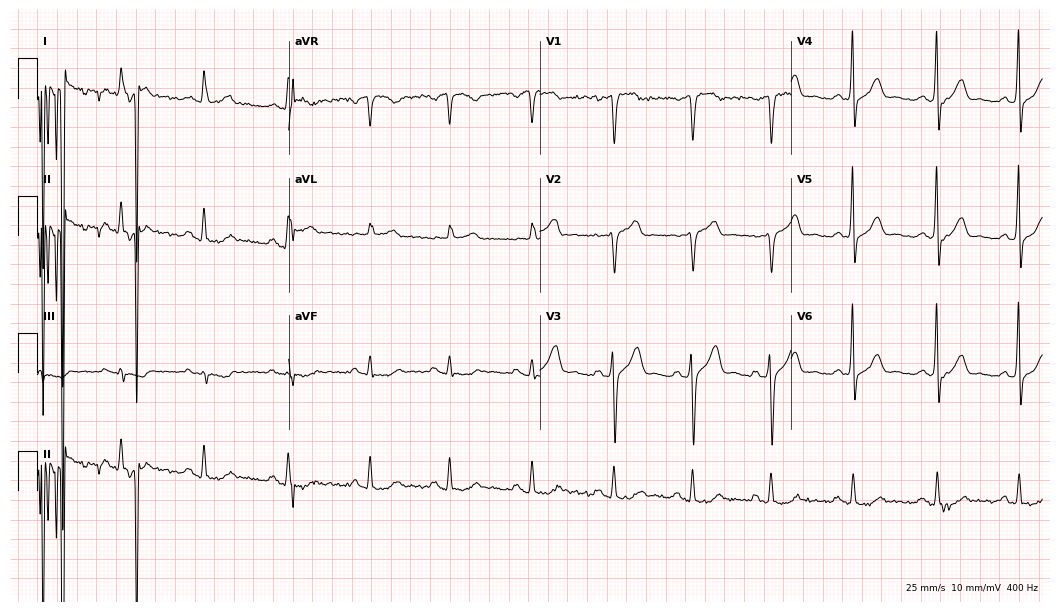
Standard 12-lead ECG recorded from a 55-year-old male patient (10.2-second recording at 400 Hz). Read as a normal ECG.